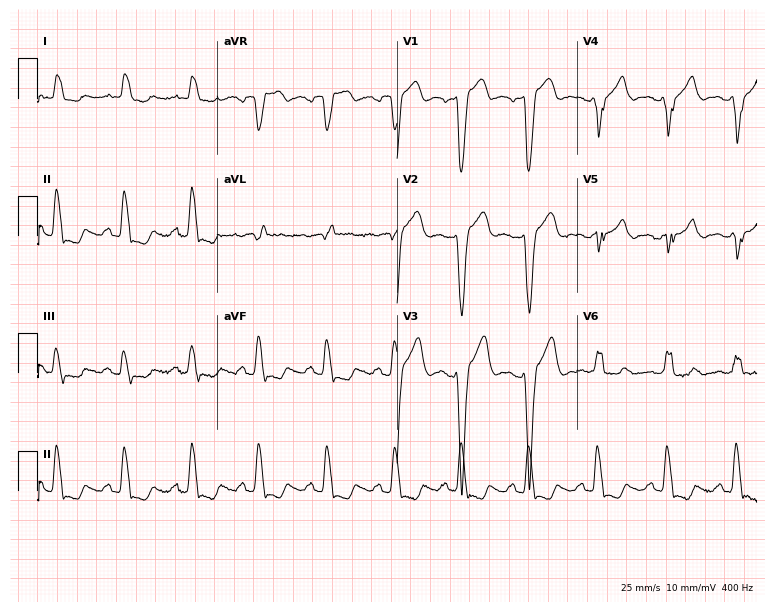
12-lead ECG from a male, 81 years old. Shows left bundle branch block.